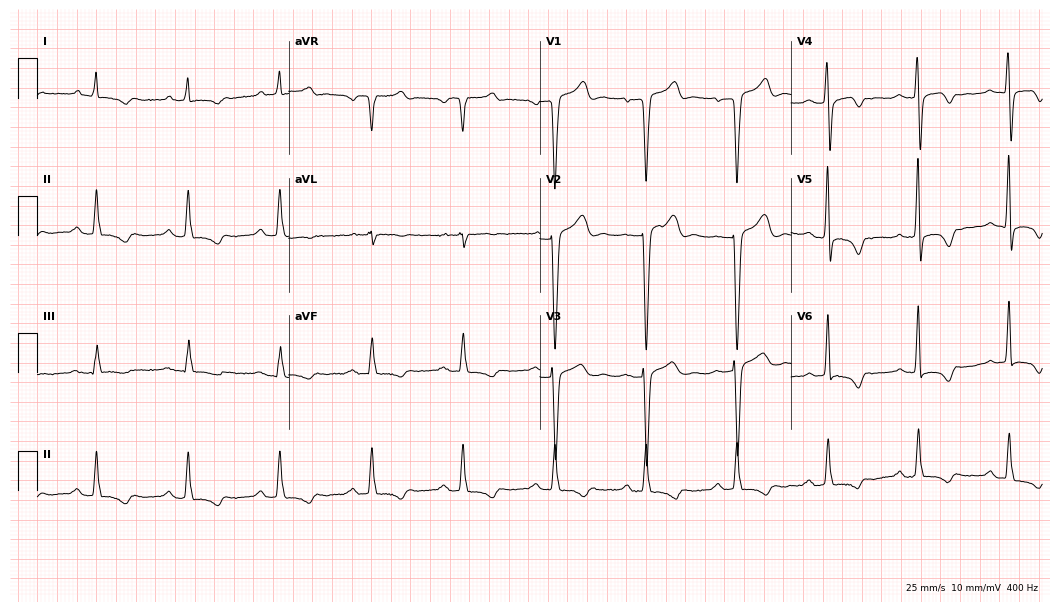
12-lead ECG from a man, 76 years old. Shows first-degree AV block.